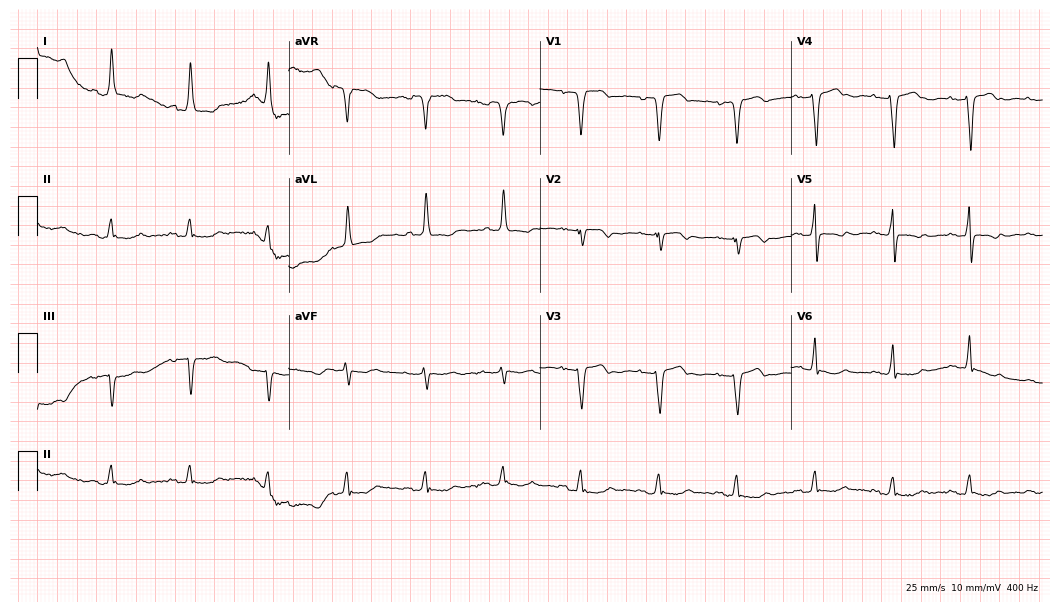
12-lead ECG from an 85-year-old female. No first-degree AV block, right bundle branch block (RBBB), left bundle branch block (LBBB), sinus bradycardia, atrial fibrillation (AF) or sinus tachycardia recorded for this tracing. Findings outside these six are not listed.